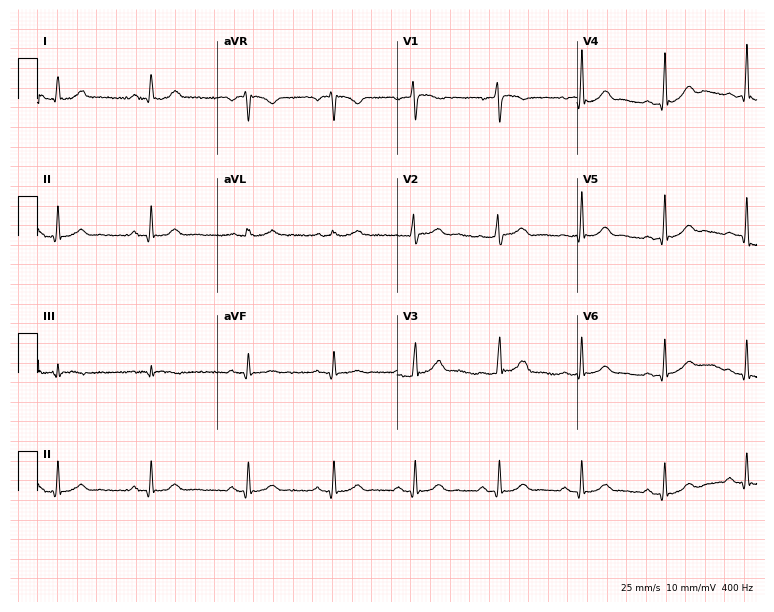
Electrocardiogram, a man, 44 years old. Of the six screened findings (first-degree AV block, right bundle branch block, left bundle branch block, sinus bradycardia, atrial fibrillation, sinus tachycardia), none is recorded.